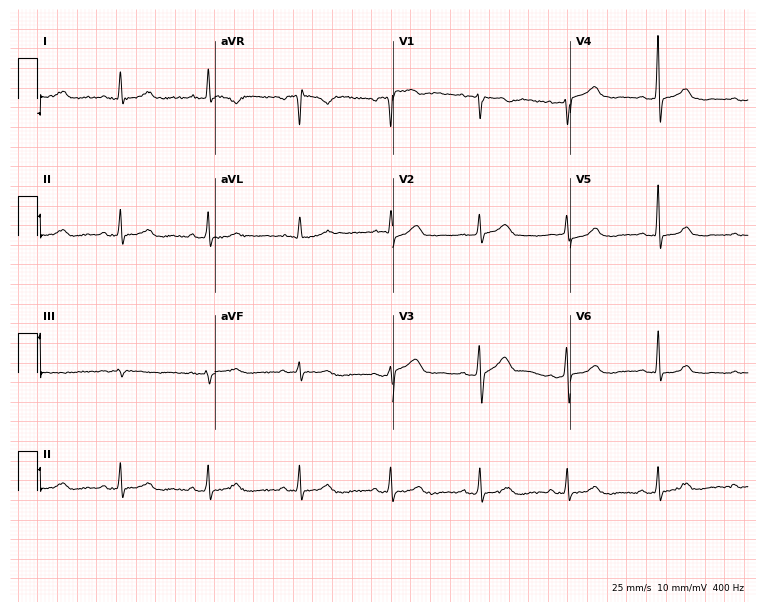
Resting 12-lead electrocardiogram. Patient: a 56-year-old female. Read as a normal ECG.